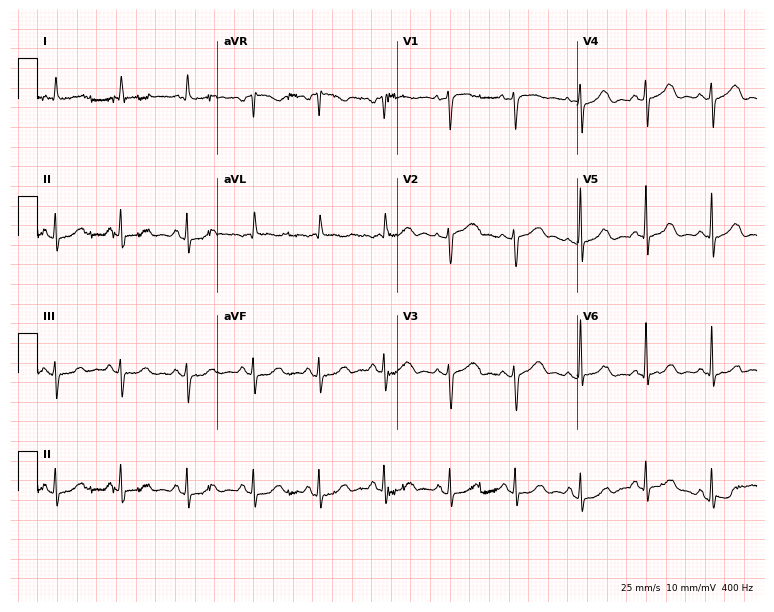
12-lead ECG from a 66-year-old female (7.3-second recording at 400 Hz). Recorded interpretation: within normal limits.